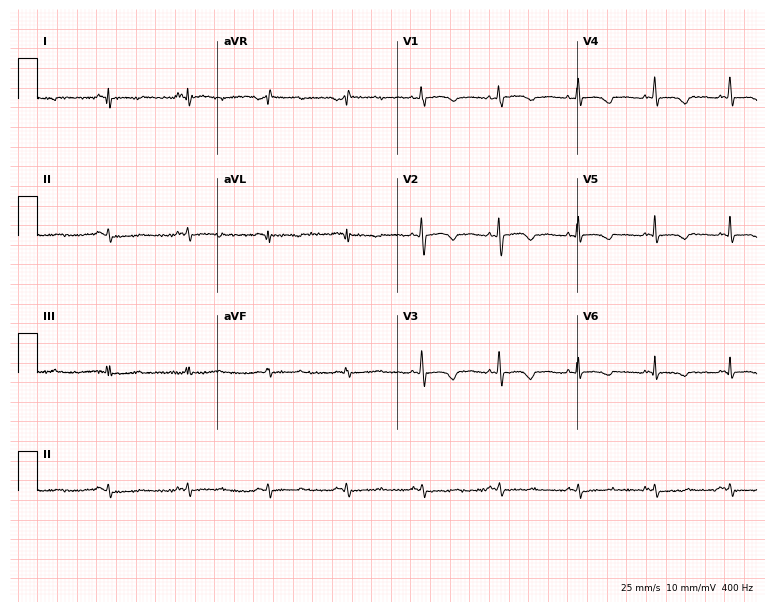
Standard 12-lead ECG recorded from a woman, 35 years old (7.3-second recording at 400 Hz). None of these six findings is recorded: first-degree AV block, right bundle branch block (RBBB), left bundle branch block (LBBB), sinus bradycardia, atrial fibrillation (AF), sinus tachycardia.